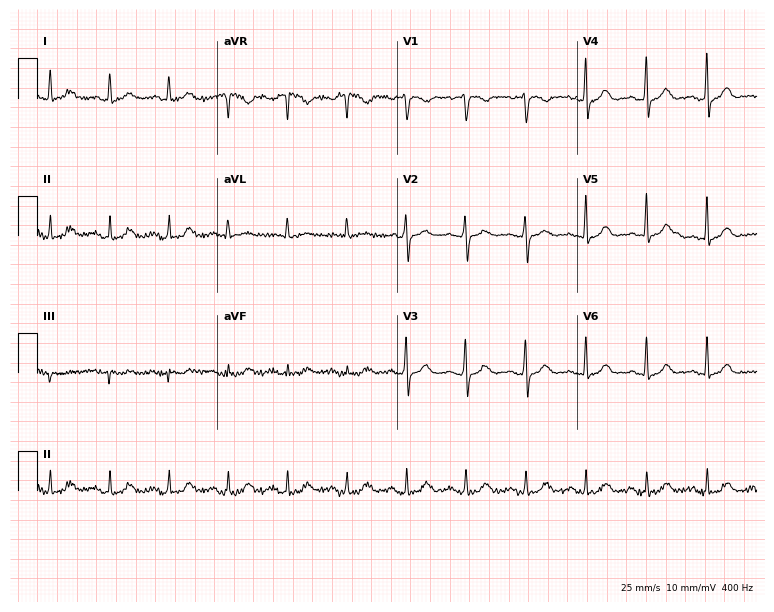
Resting 12-lead electrocardiogram (7.3-second recording at 400 Hz). Patient: a 55-year-old female. None of these six findings is recorded: first-degree AV block, right bundle branch block (RBBB), left bundle branch block (LBBB), sinus bradycardia, atrial fibrillation (AF), sinus tachycardia.